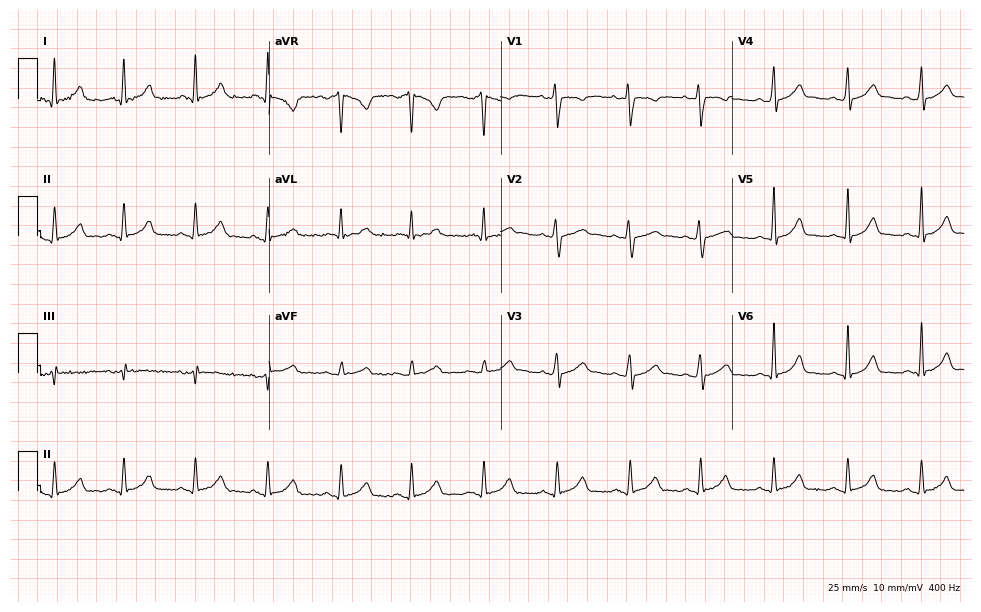
Resting 12-lead electrocardiogram (9.4-second recording at 400 Hz). Patient: a 35-year-old male. Read as a normal ECG.